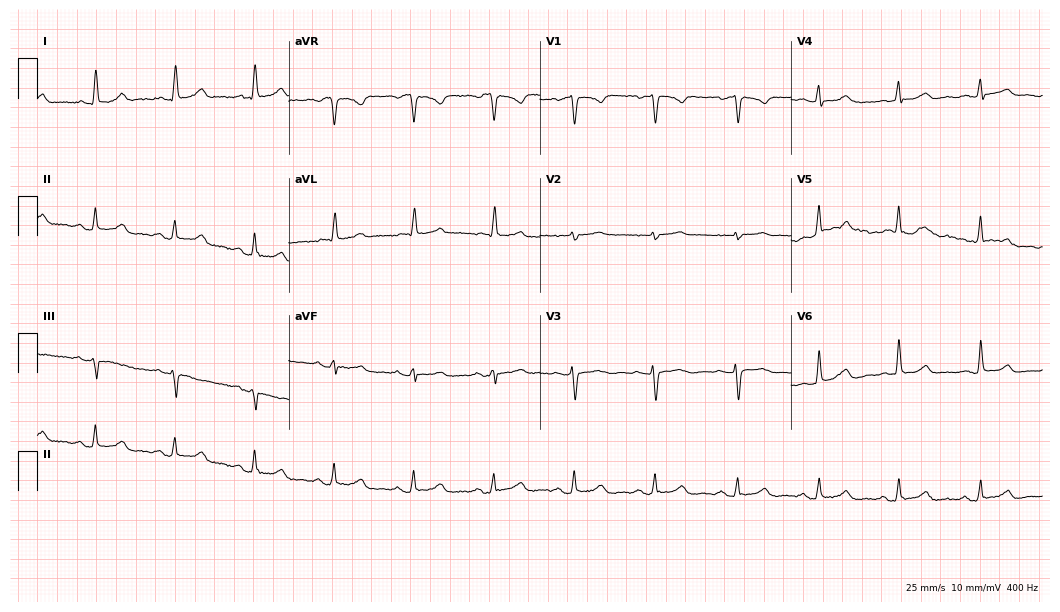
12-lead ECG from a female patient, 77 years old (10.2-second recording at 400 Hz). Recorded interpretation: within normal limits.